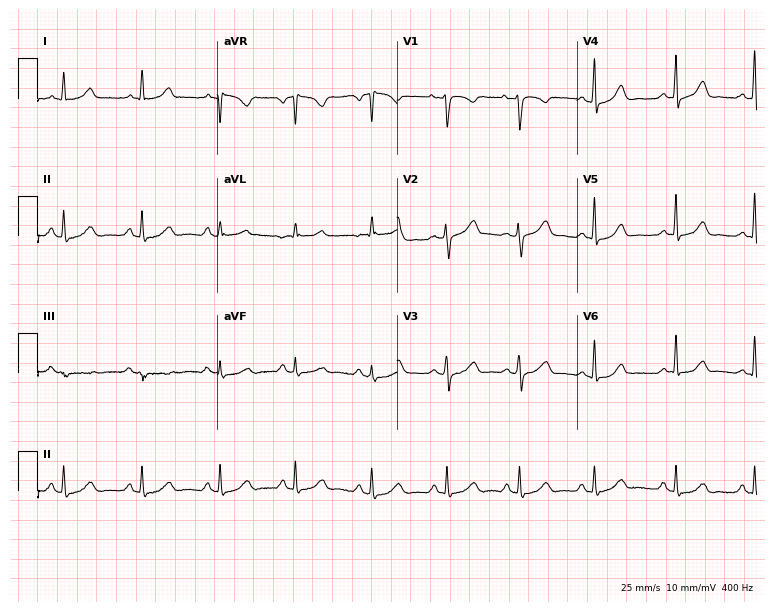
ECG — a 37-year-old female. Labelled as a normal ECG.